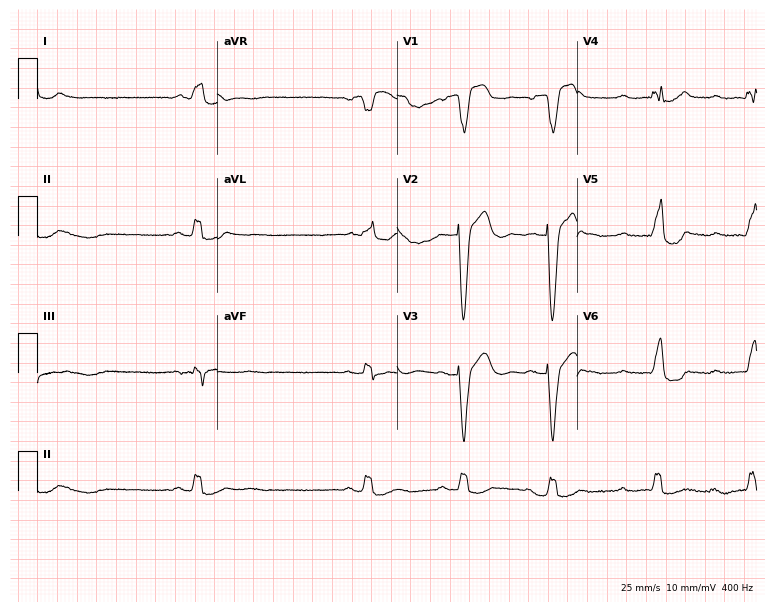
Resting 12-lead electrocardiogram (7.3-second recording at 400 Hz). Patient: a man, 75 years old. The tracing shows first-degree AV block, left bundle branch block.